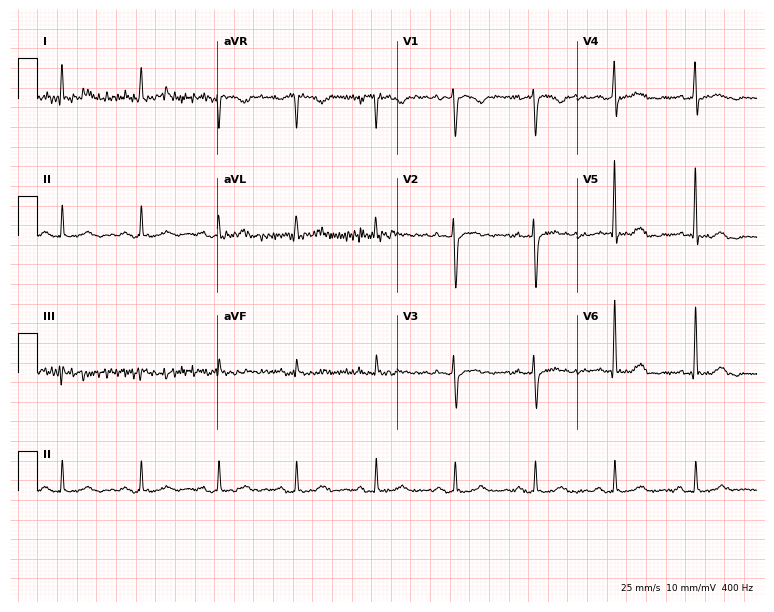
Standard 12-lead ECG recorded from a 47-year-old woman. None of these six findings is recorded: first-degree AV block, right bundle branch block, left bundle branch block, sinus bradycardia, atrial fibrillation, sinus tachycardia.